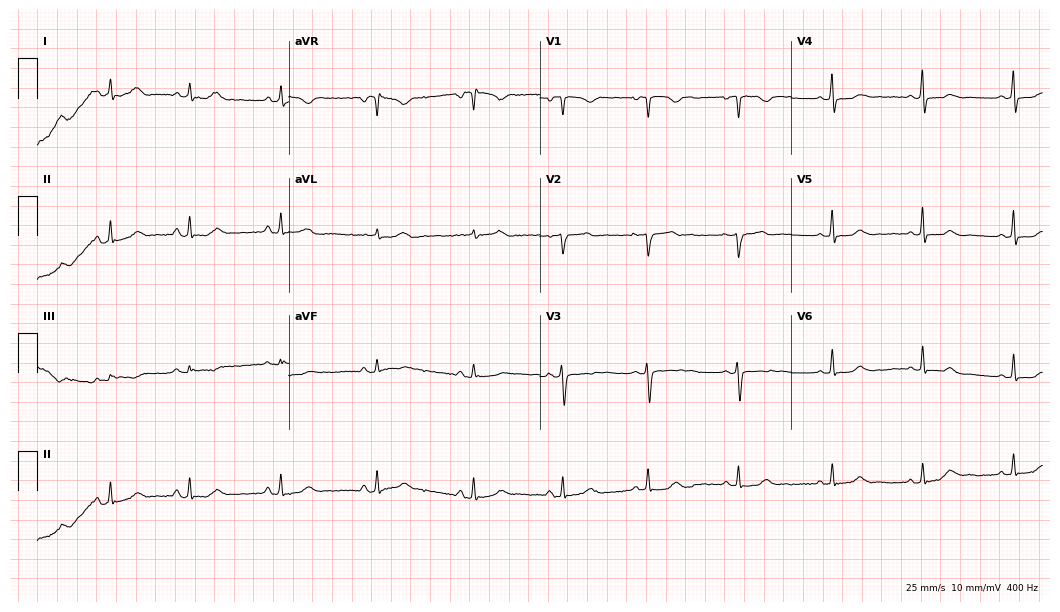
12-lead ECG from a 29-year-old female. Recorded interpretation: within normal limits.